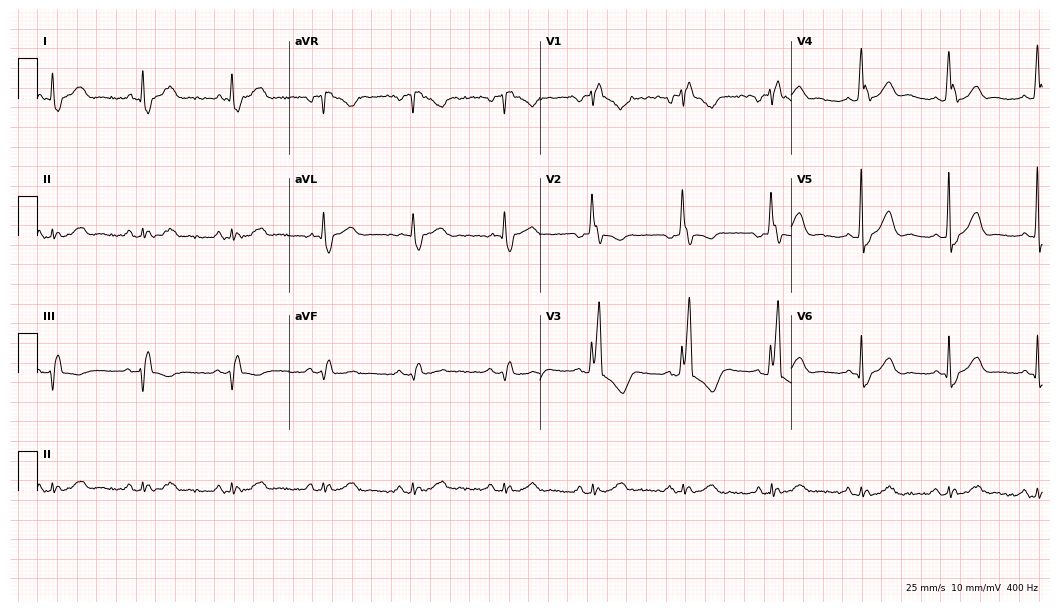
Standard 12-lead ECG recorded from a 57-year-old male. The tracing shows right bundle branch block (RBBB).